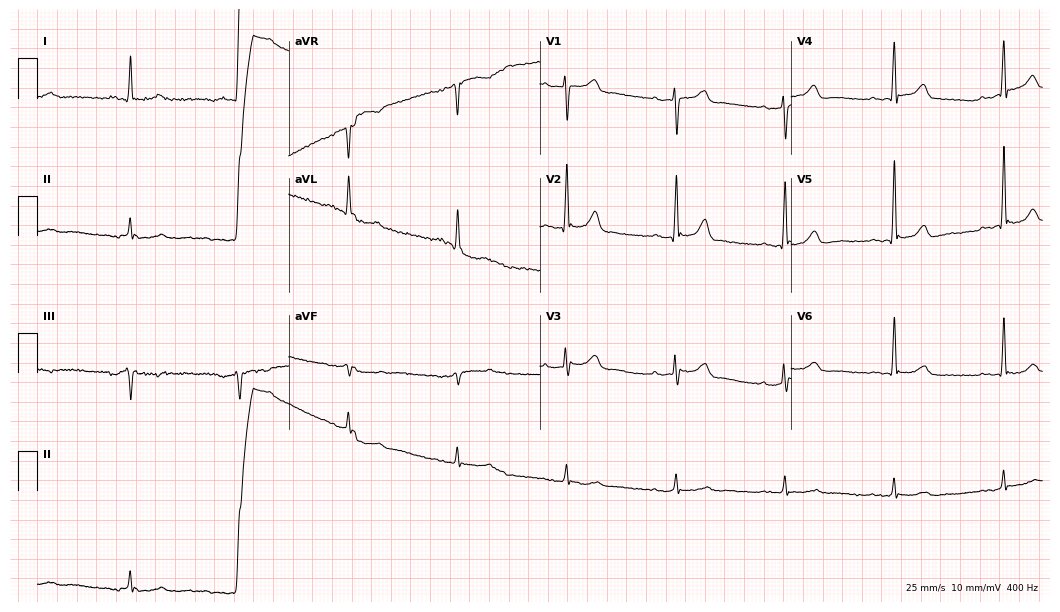
12-lead ECG from a man, 79 years old (10.2-second recording at 400 Hz). Recorded interpretation: within normal limits.